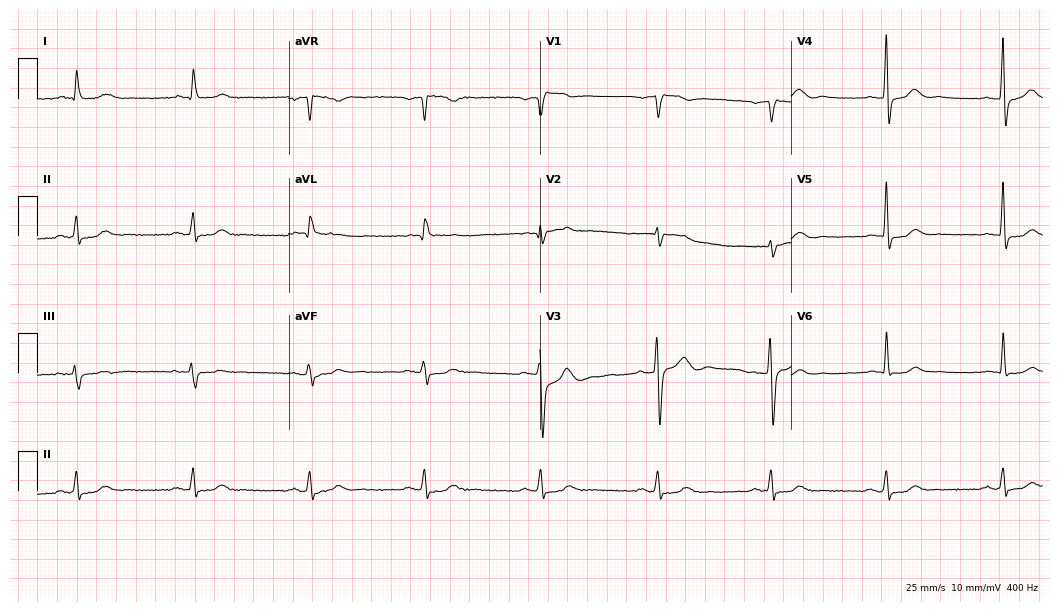
12-lead ECG from a man, 78 years old (10.2-second recording at 400 Hz). No first-degree AV block, right bundle branch block, left bundle branch block, sinus bradycardia, atrial fibrillation or sinus tachycardia recorded for this tracing.